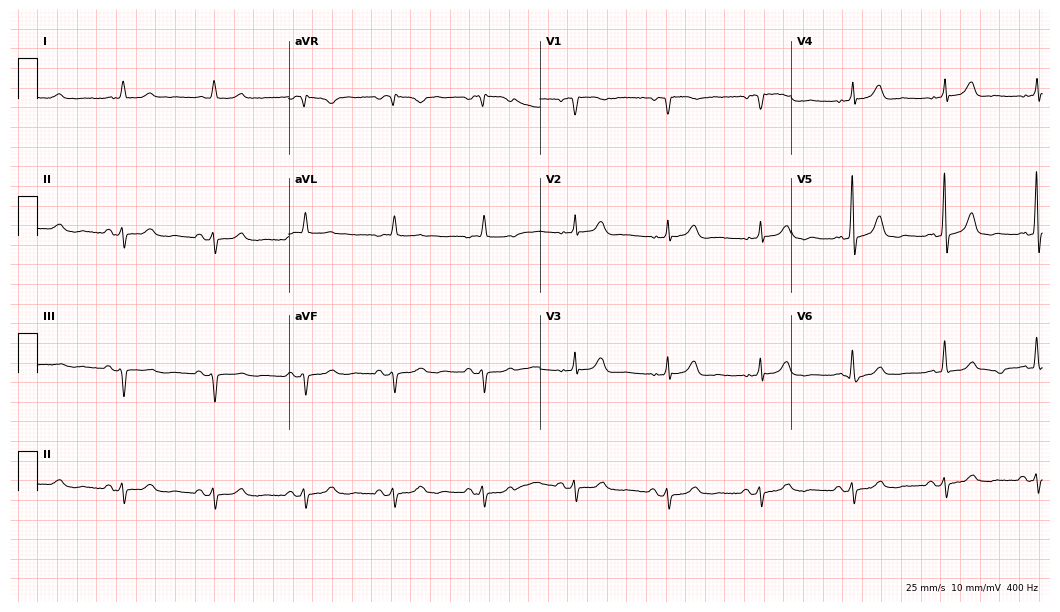
Standard 12-lead ECG recorded from a man, 80 years old (10.2-second recording at 400 Hz). None of these six findings is recorded: first-degree AV block, right bundle branch block, left bundle branch block, sinus bradycardia, atrial fibrillation, sinus tachycardia. Findings outside these six are not listed.